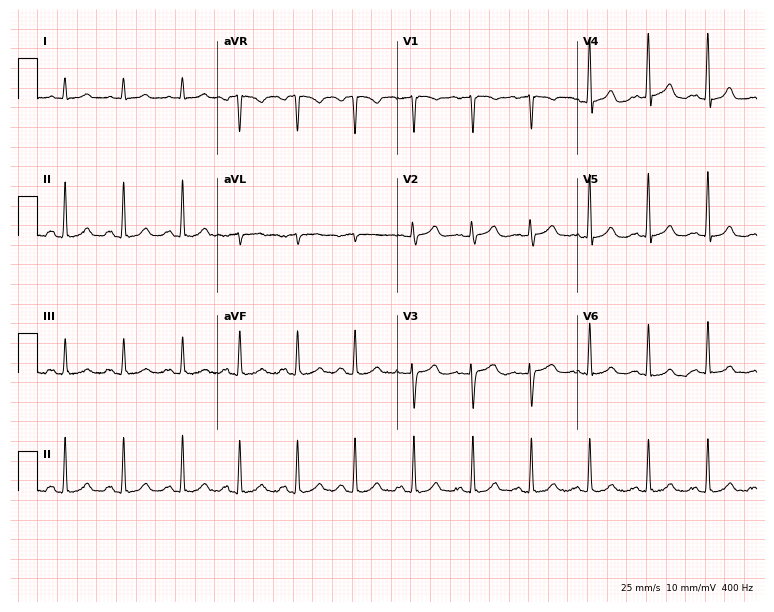
ECG (7.3-second recording at 400 Hz) — a 52-year-old female. Findings include sinus tachycardia (a sinus rate of 100 beats per minute or more).